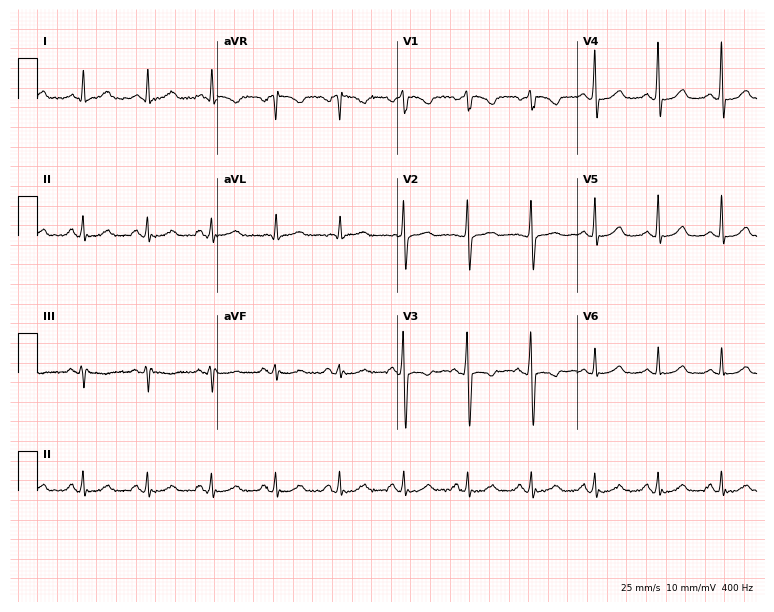
ECG — a 76-year-old female patient. Screened for six findings — first-degree AV block, right bundle branch block, left bundle branch block, sinus bradycardia, atrial fibrillation, sinus tachycardia — none is recorded. Findings outside these six are not listed.